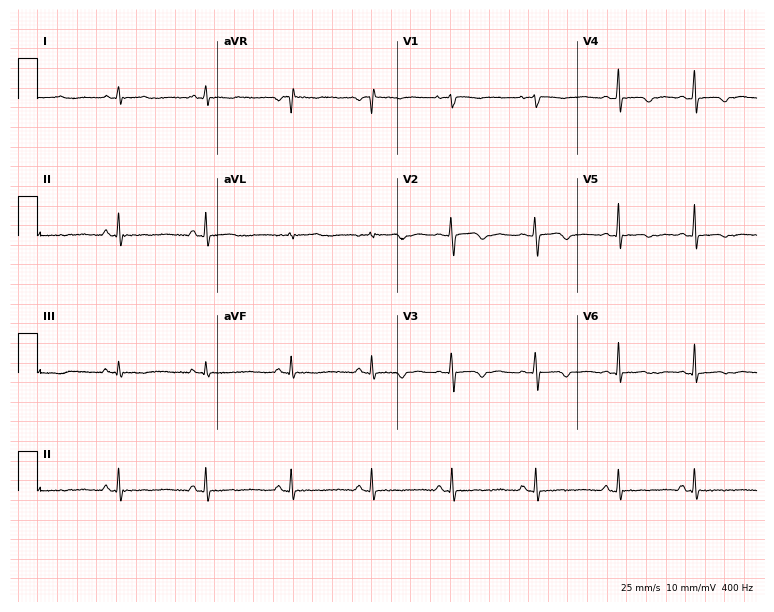
Resting 12-lead electrocardiogram. Patient: a 23-year-old female. None of these six findings is recorded: first-degree AV block, right bundle branch block, left bundle branch block, sinus bradycardia, atrial fibrillation, sinus tachycardia. Other findings, if any, are not listed.